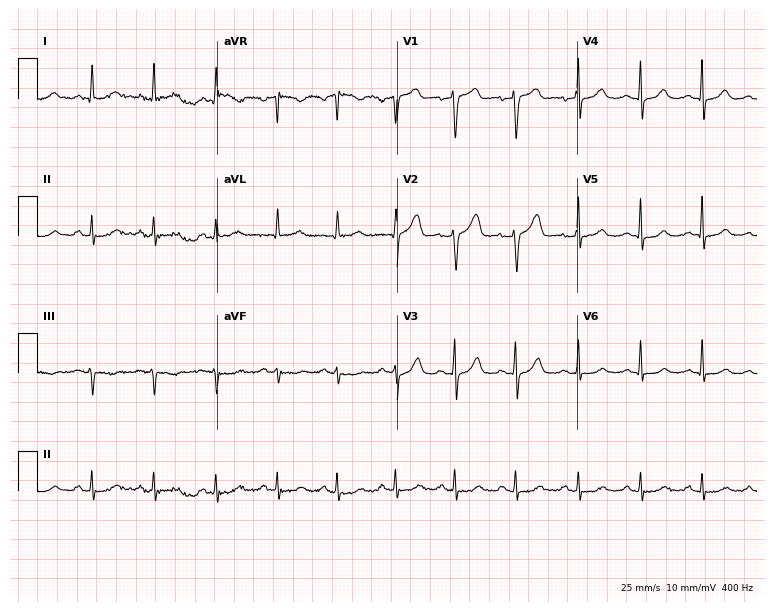
Standard 12-lead ECG recorded from a 72-year-old woman. Read as a normal ECG.